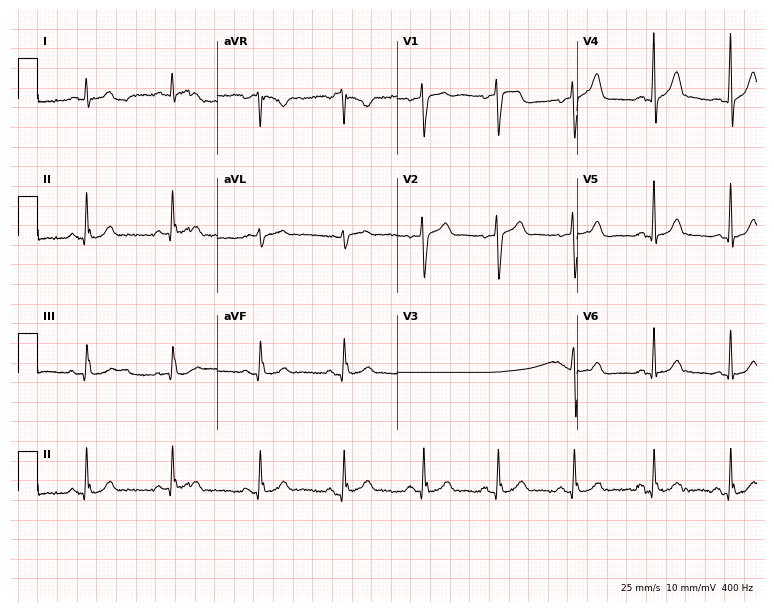
Resting 12-lead electrocardiogram. Patient: a 55-year-old man. Read as a normal ECG.